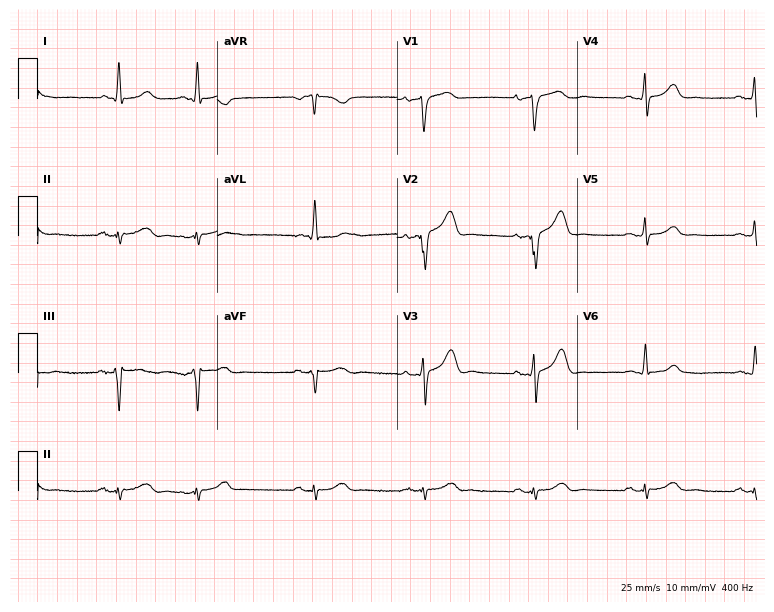
12-lead ECG from an 81-year-old female (7.3-second recording at 400 Hz). No first-degree AV block, right bundle branch block, left bundle branch block, sinus bradycardia, atrial fibrillation or sinus tachycardia recorded for this tracing.